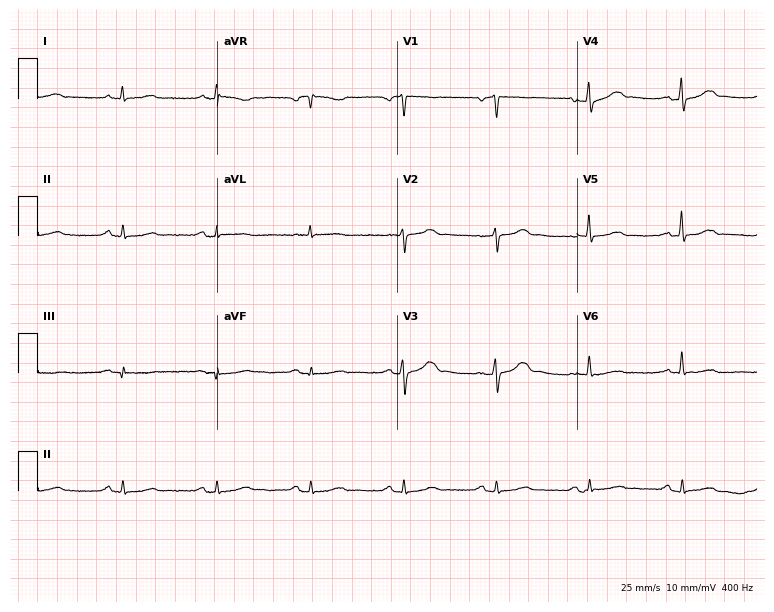
12-lead ECG (7.3-second recording at 400 Hz) from a male patient, 60 years old. Labelled as a normal ECG.